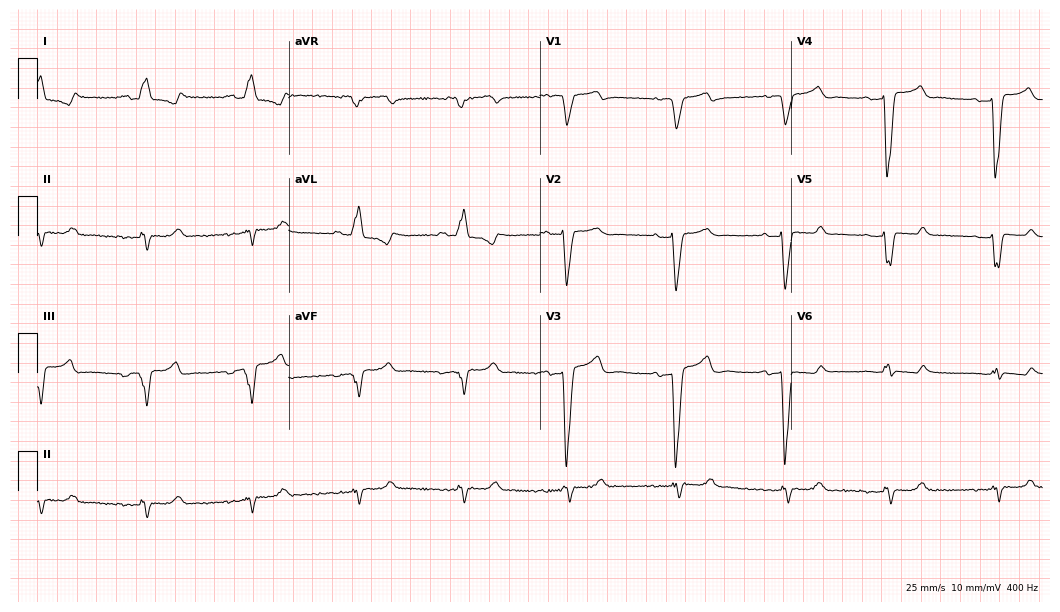
ECG — a woman, 42 years old. Findings include left bundle branch block (LBBB).